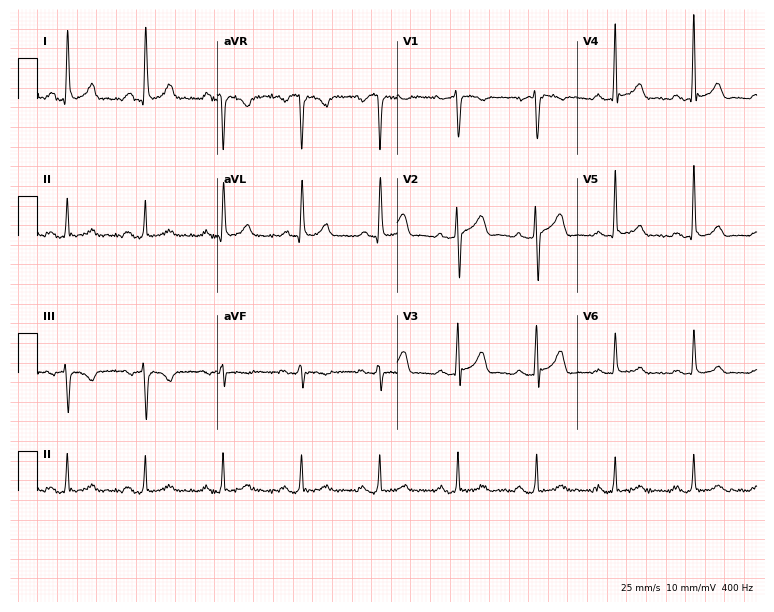
Standard 12-lead ECG recorded from a 61-year-old man. None of these six findings is recorded: first-degree AV block, right bundle branch block, left bundle branch block, sinus bradycardia, atrial fibrillation, sinus tachycardia.